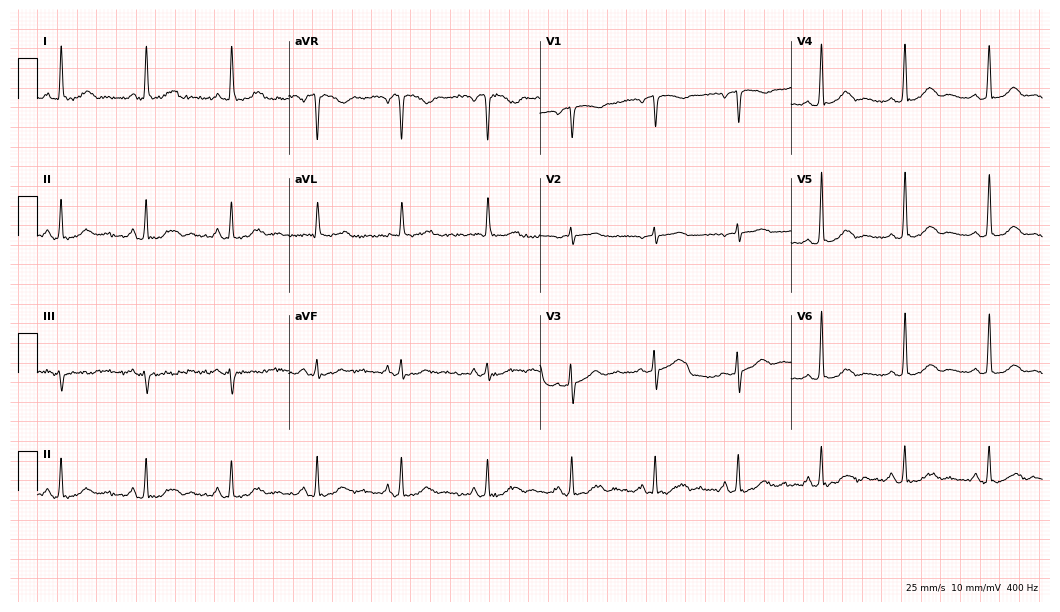
12-lead ECG from a woman, 62 years old. Recorded interpretation: within normal limits.